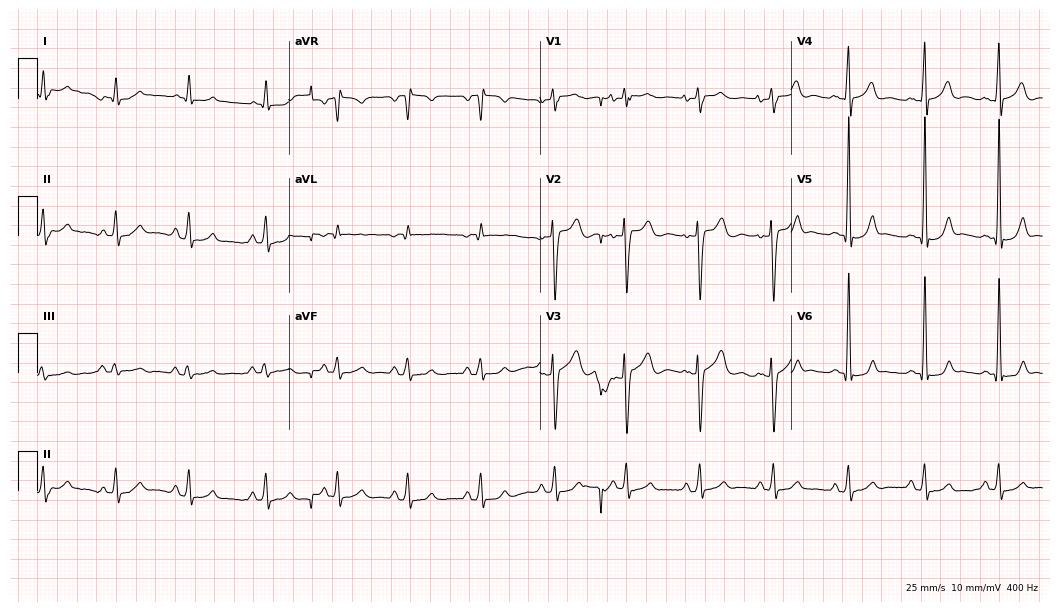
Resting 12-lead electrocardiogram. Patient: a 19-year-old male. Read as a normal ECG.